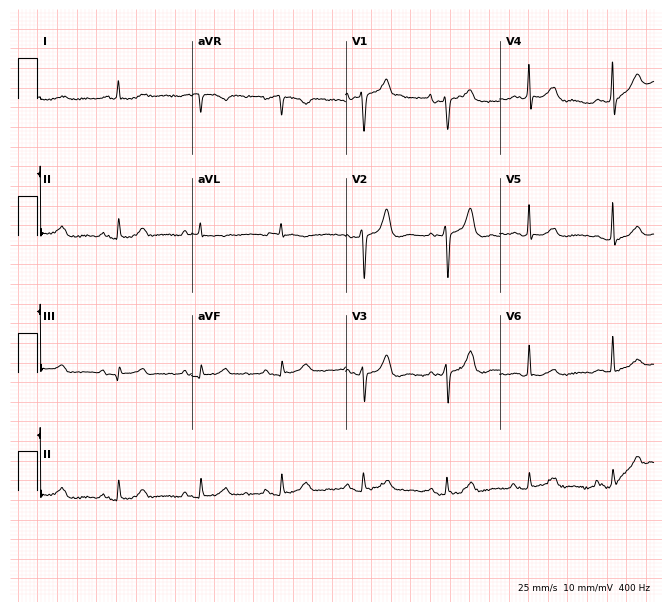
Resting 12-lead electrocardiogram. Patient: an 81-year-old female. None of these six findings is recorded: first-degree AV block, right bundle branch block, left bundle branch block, sinus bradycardia, atrial fibrillation, sinus tachycardia.